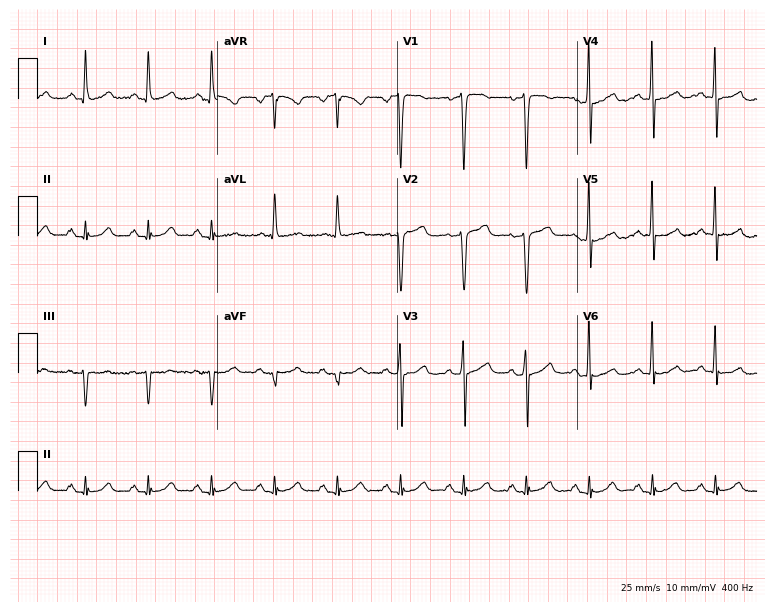
Resting 12-lead electrocardiogram. Patient: a female, 54 years old. None of these six findings is recorded: first-degree AV block, right bundle branch block, left bundle branch block, sinus bradycardia, atrial fibrillation, sinus tachycardia. Findings outside these six are not listed.